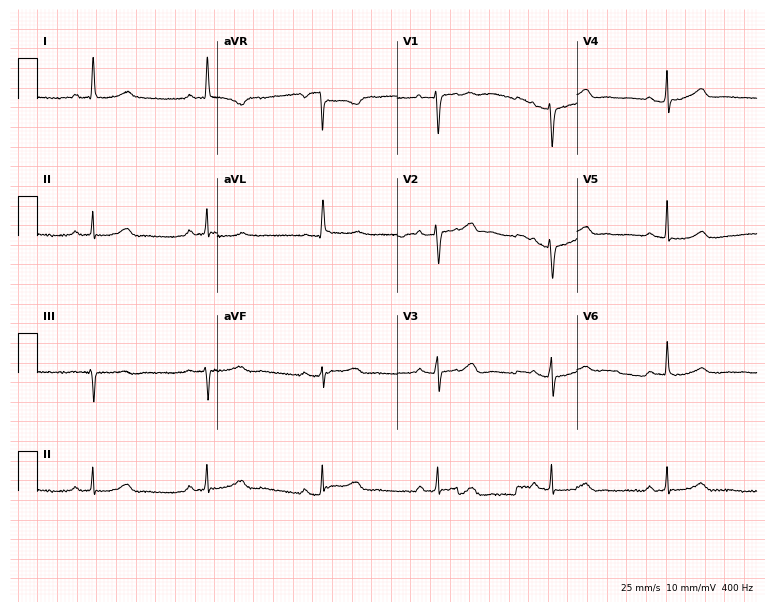
ECG — a 67-year-old female patient. Labelled as a normal ECG.